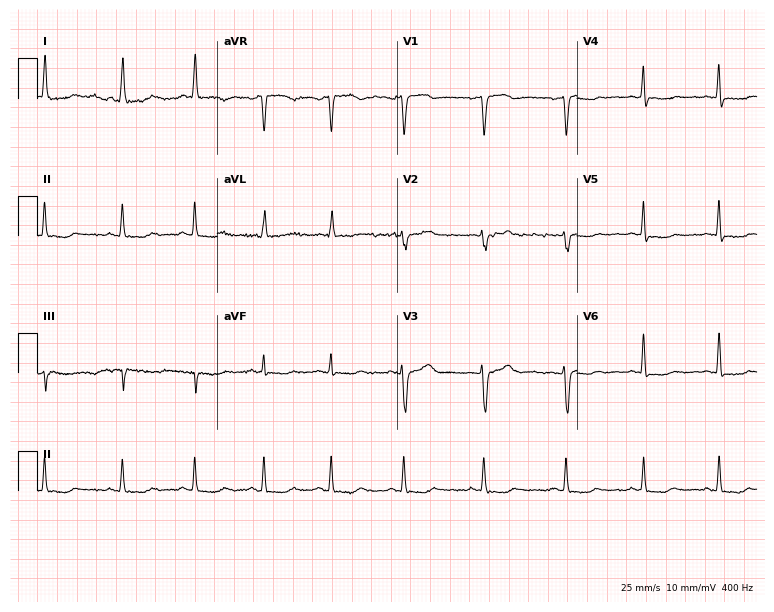
12-lead ECG from a male patient, 39 years old. No first-degree AV block, right bundle branch block, left bundle branch block, sinus bradycardia, atrial fibrillation or sinus tachycardia recorded for this tracing.